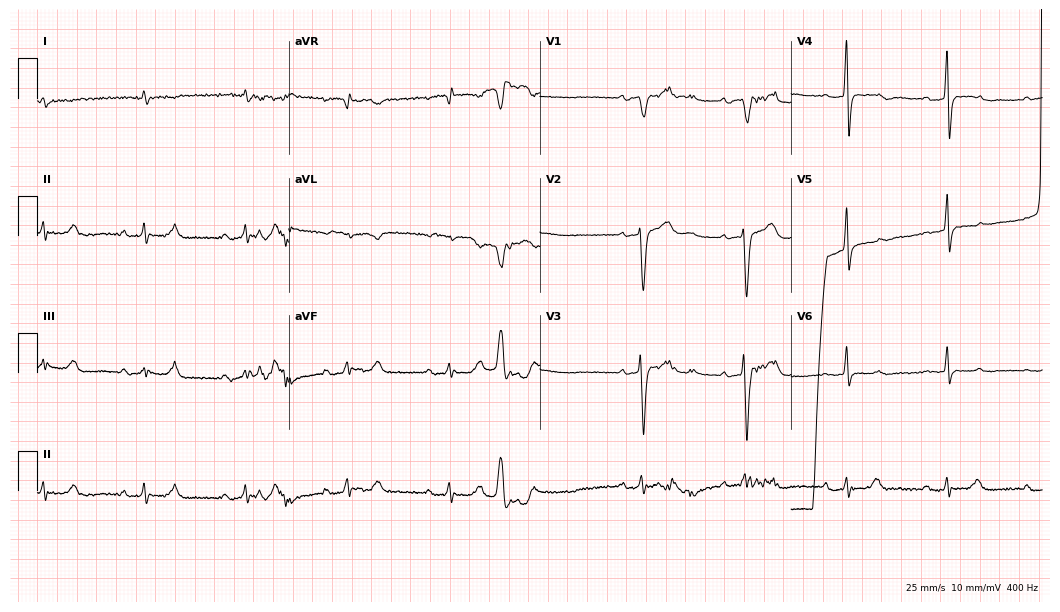
12-lead ECG (10.2-second recording at 400 Hz) from a 66-year-old male. Screened for six findings — first-degree AV block, right bundle branch block (RBBB), left bundle branch block (LBBB), sinus bradycardia, atrial fibrillation (AF), sinus tachycardia — none is recorded. Other findings, if any, are not listed.